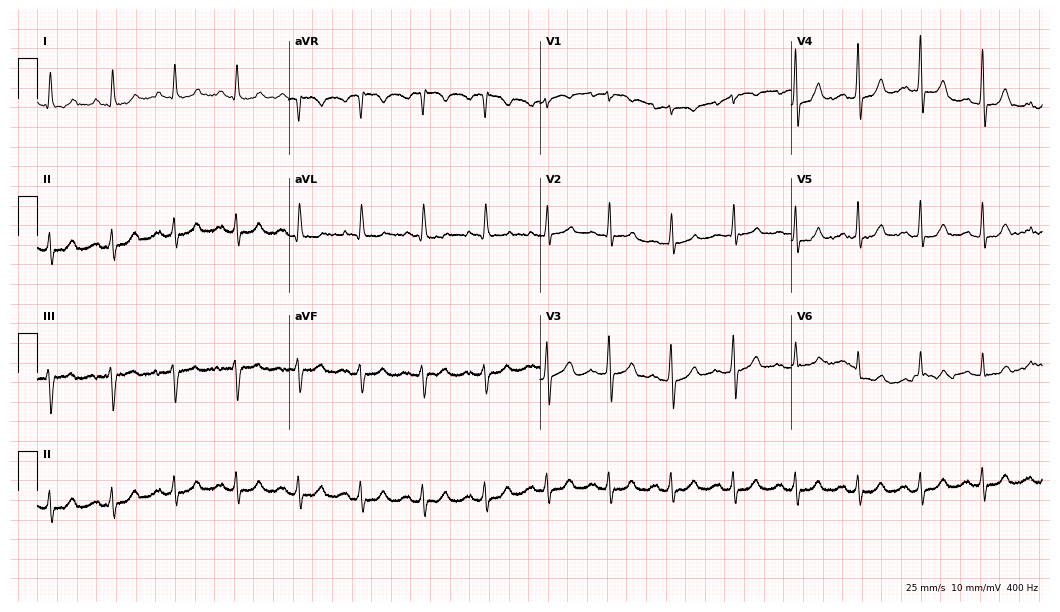
ECG — a man, 74 years old. Screened for six findings — first-degree AV block, right bundle branch block, left bundle branch block, sinus bradycardia, atrial fibrillation, sinus tachycardia — none is recorded. Findings outside these six are not listed.